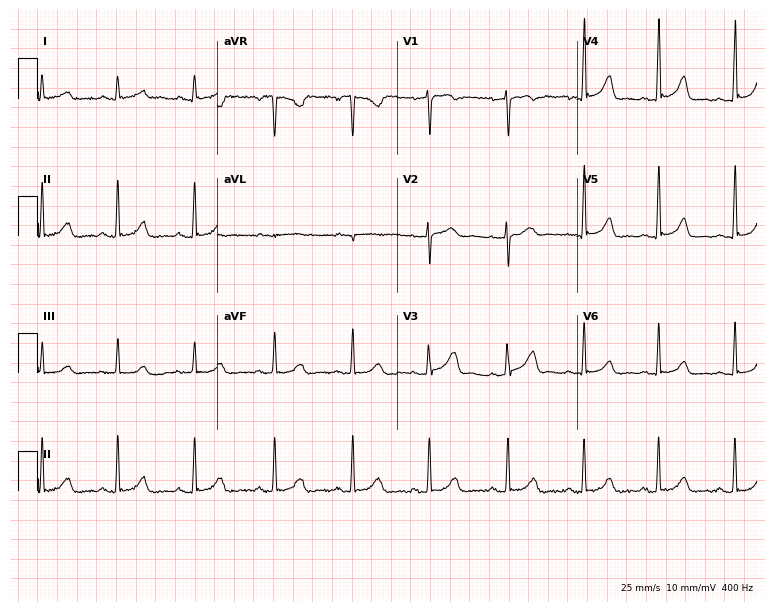
12-lead ECG from a 52-year-old woman. Labelled as a normal ECG.